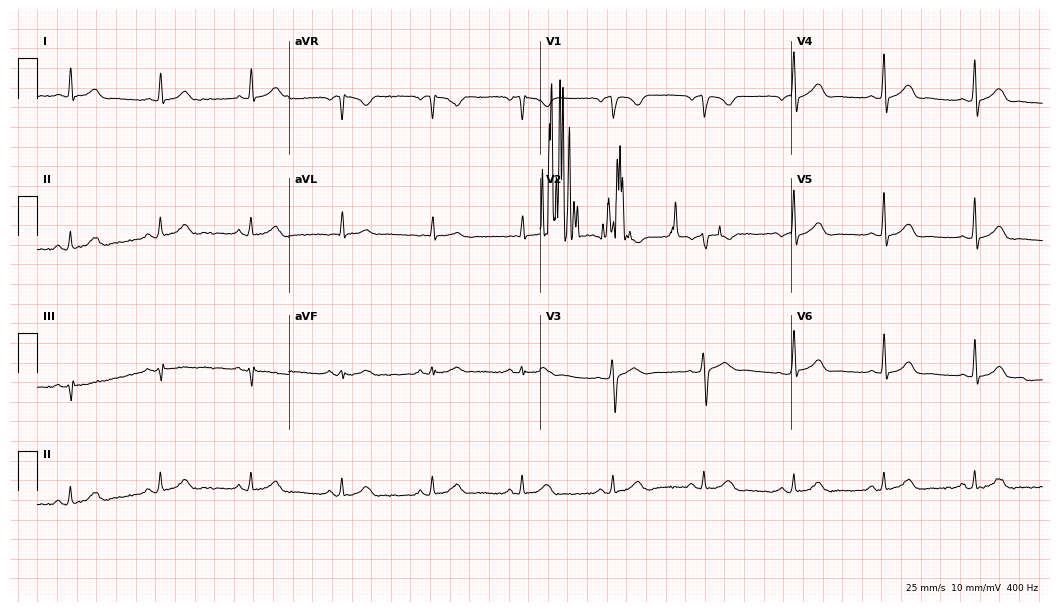
Resting 12-lead electrocardiogram. Patient: a 70-year-old male. None of these six findings is recorded: first-degree AV block, right bundle branch block, left bundle branch block, sinus bradycardia, atrial fibrillation, sinus tachycardia.